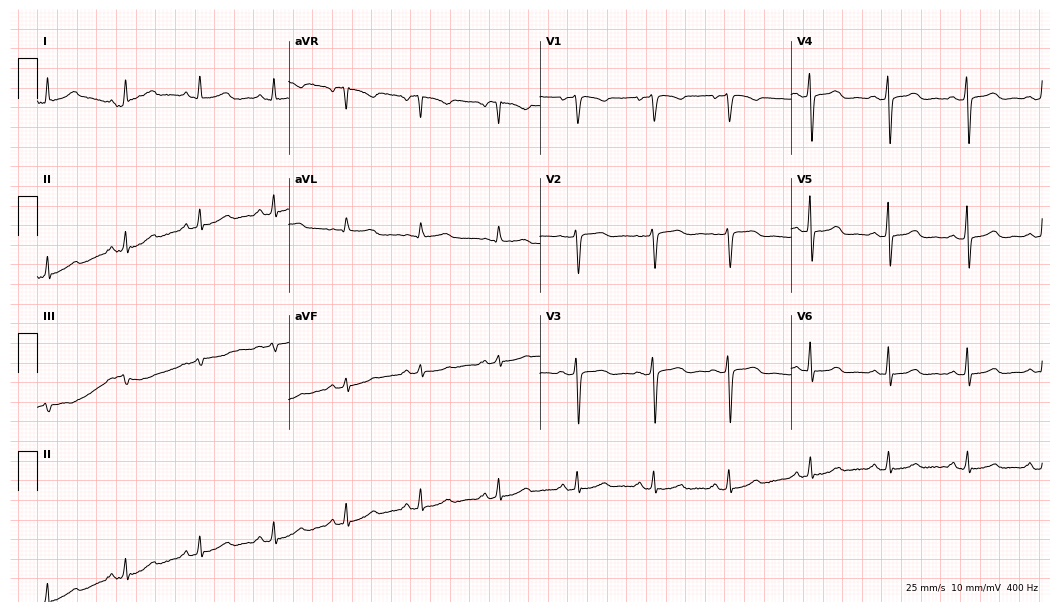
Electrocardiogram (10.2-second recording at 400 Hz), a 44-year-old female. Overall reading on record: normal ECG.